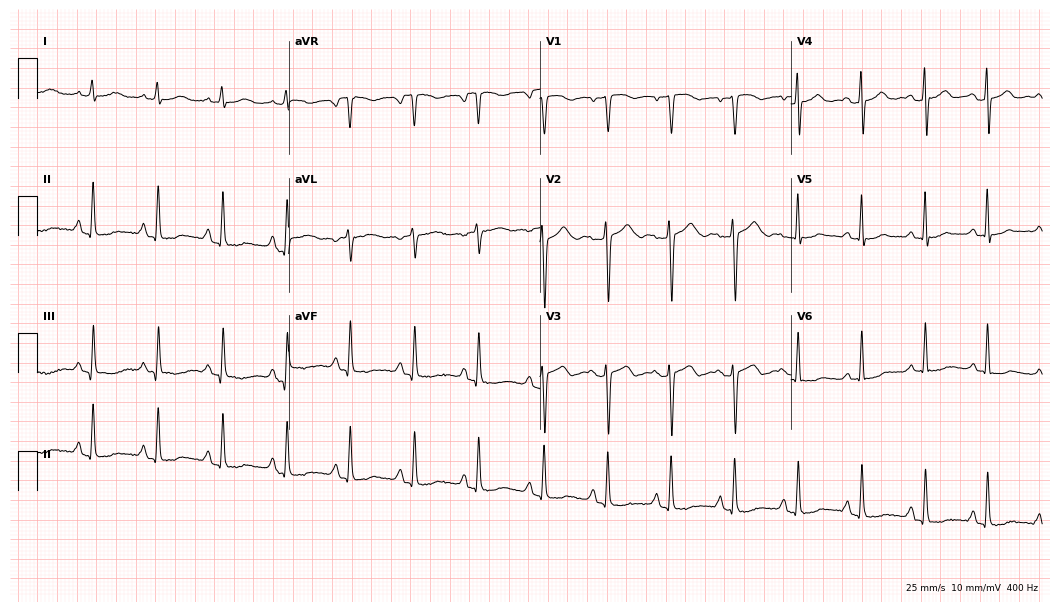
Electrocardiogram (10.2-second recording at 400 Hz), a 49-year-old female patient. Overall reading on record: normal ECG.